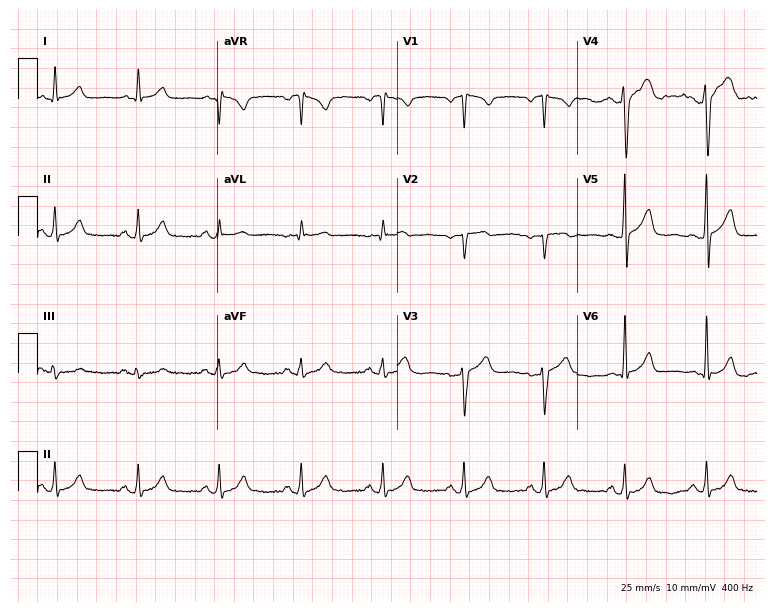
Resting 12-lead electrocardiogram. Patient: a 65-year-old male. Read as a normal ECG.